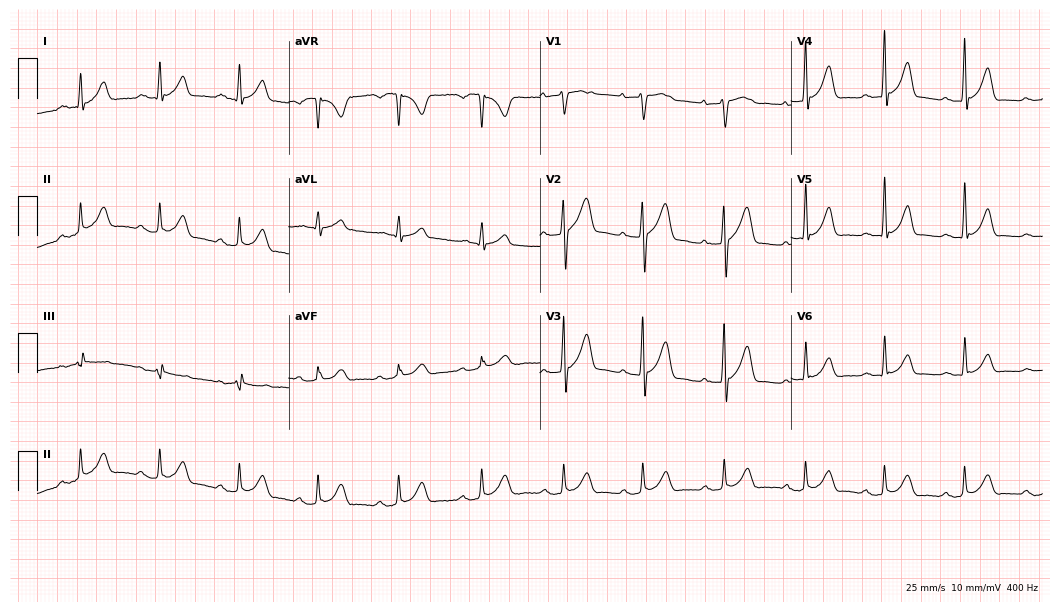
12-lead ECG from a male, 39 years old. Recorded interpretation: within normal limits.